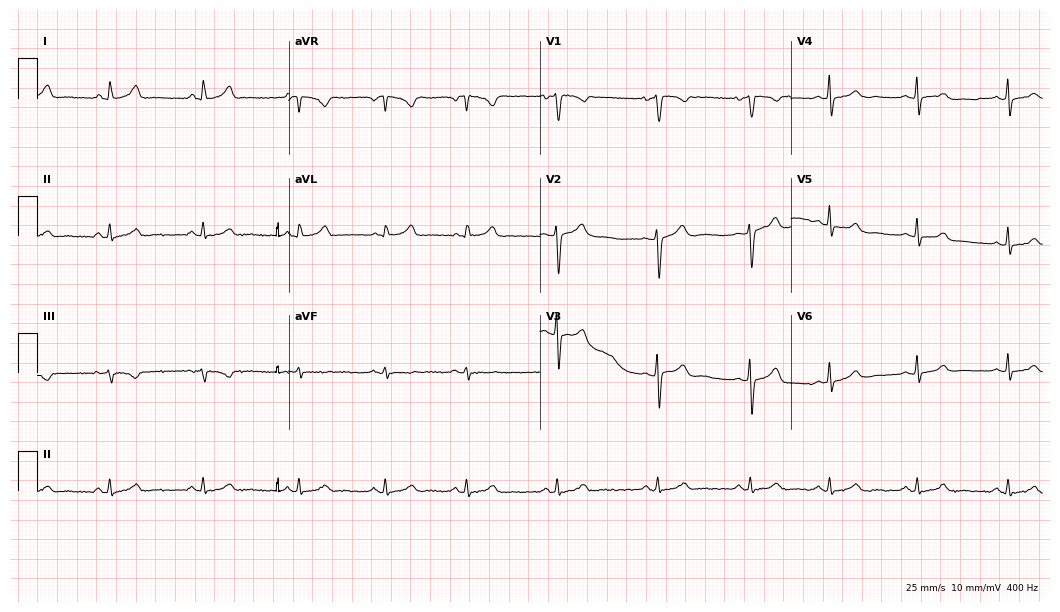
12-lead ECG (10.2-second recording at 400 Hz) from a woman, 35 years old. Screened for six findings — first-degree AV block, right bundle branch block, left bundle branch block, sinus bradycardia, atrial fibrillation, sinus tachycardia — none is recorded.